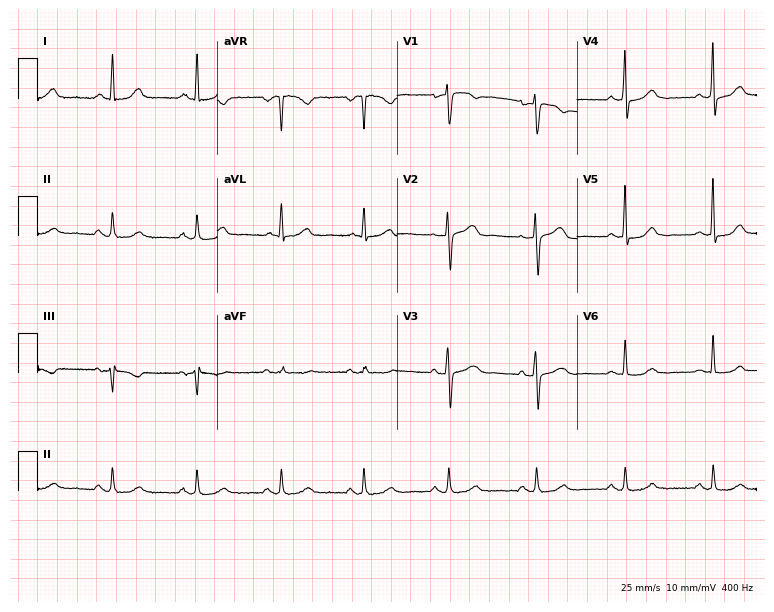
Electrocardiogram (7.3-second recording at 400 Hz), a female, 57 years old. Overall reading on record: normal ECG.